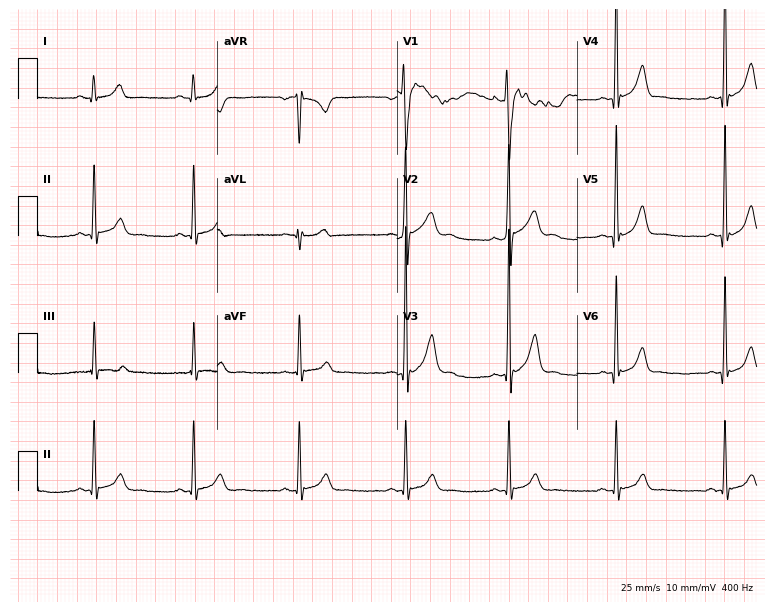
12-lead ECG from a male patient, 17 years old (7.3-second recording at 400 Hz). Recorded interpretation: within normal limits.